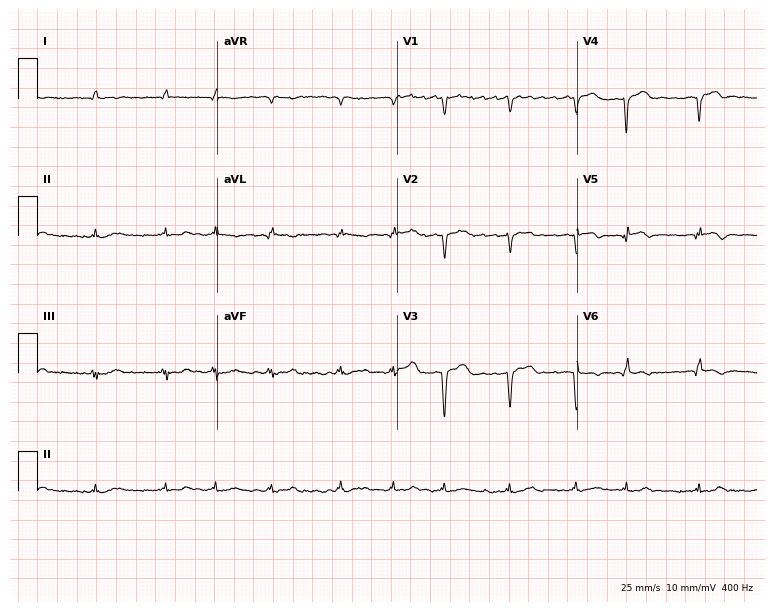
Resting 12-lead electrocardiogram. Patient: a 77-year-old man. The tracing shows atrial fibrillation.